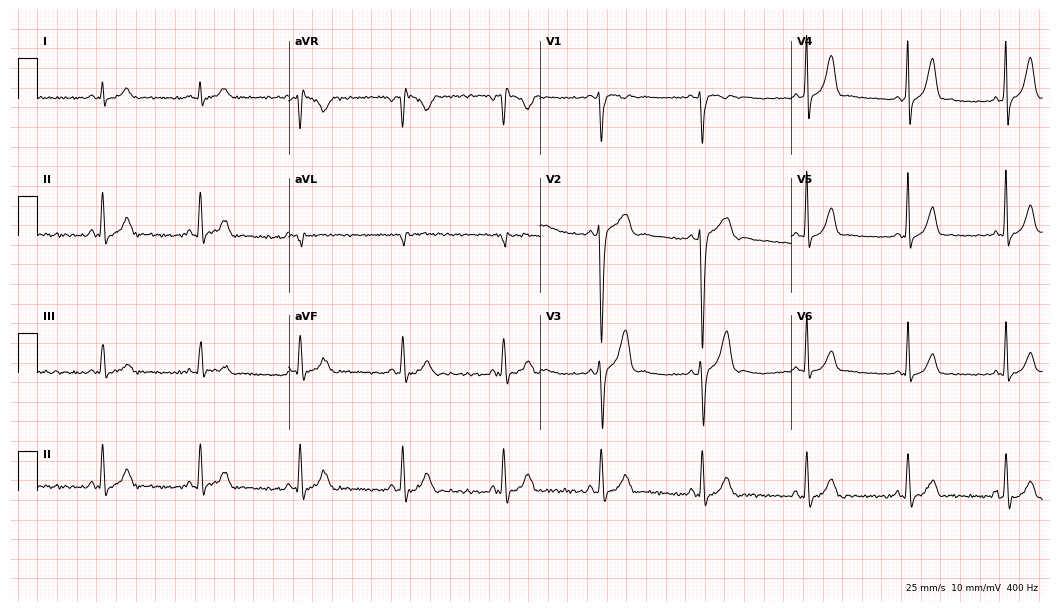
Standard 12-lead ECG recorded from a 24-year-old male patient (10.2-second recording at 400 Hz). Read as a normal ECG.